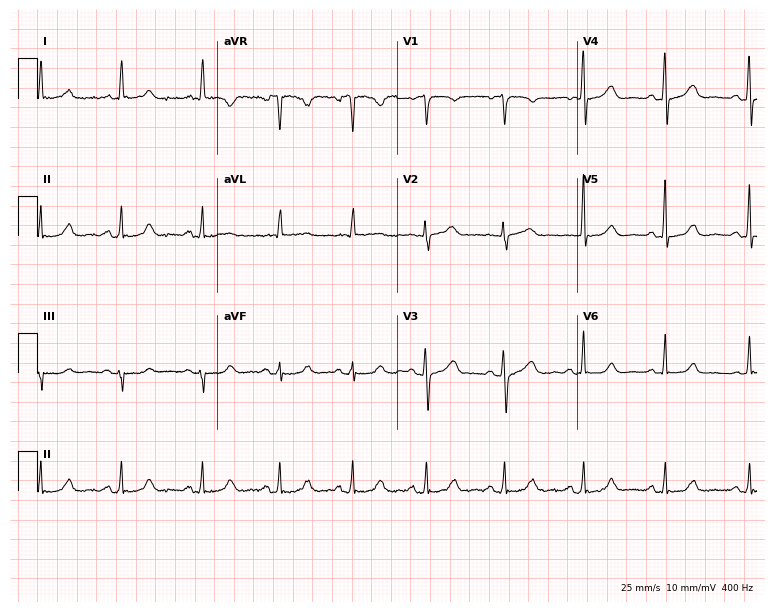
Electrocardiogram (7.3-second recording at 400 Hz), a female patient, 64 years old. Overall reading on record: normal ECG.